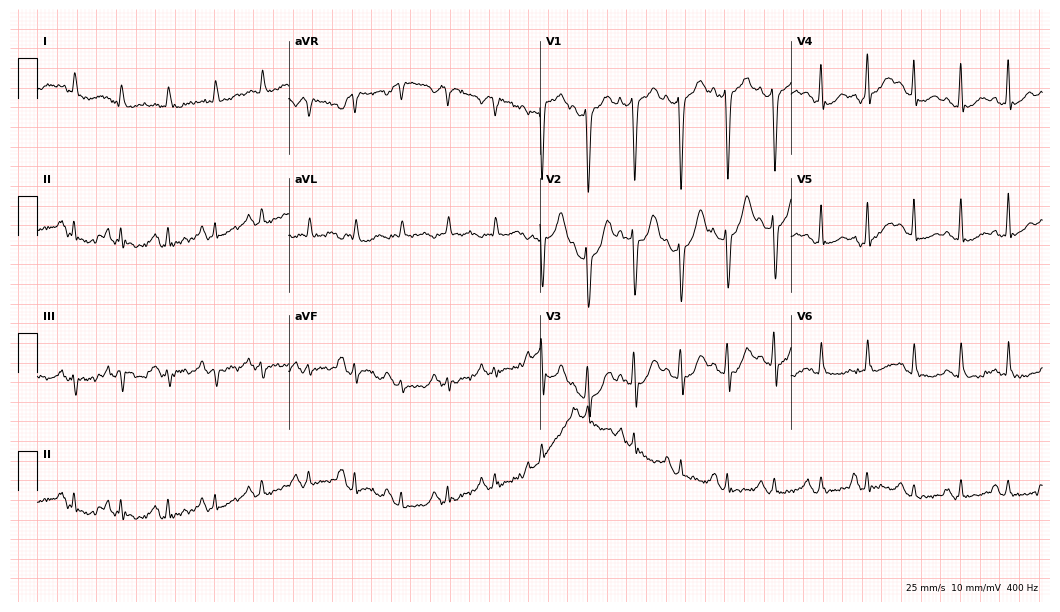
Resting 12-lead electrocardiogram. Patient: a male, 78 years old. The tracing shows sinus tachycardia (a sinus rate of 100 beats per minute or more).